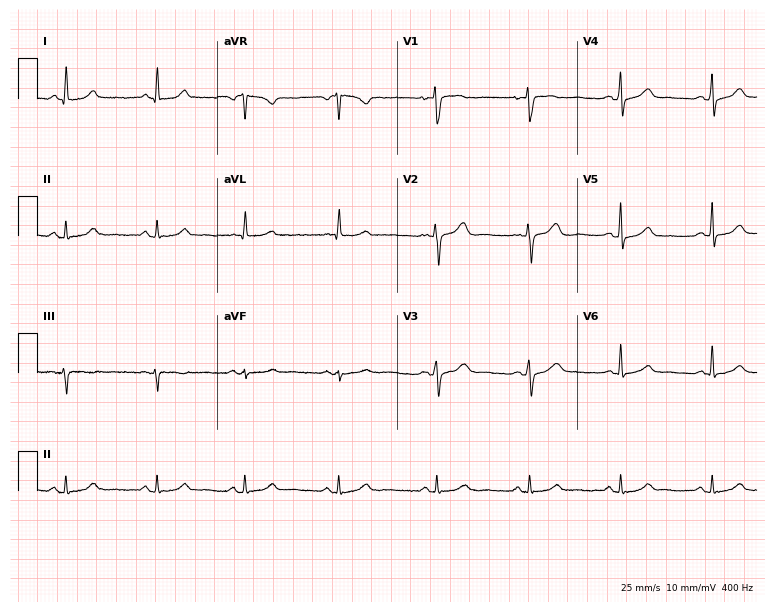
Resting 12-lead electrocardiogram. Patient: a 45-year-old woman. Read as a normal ECG.